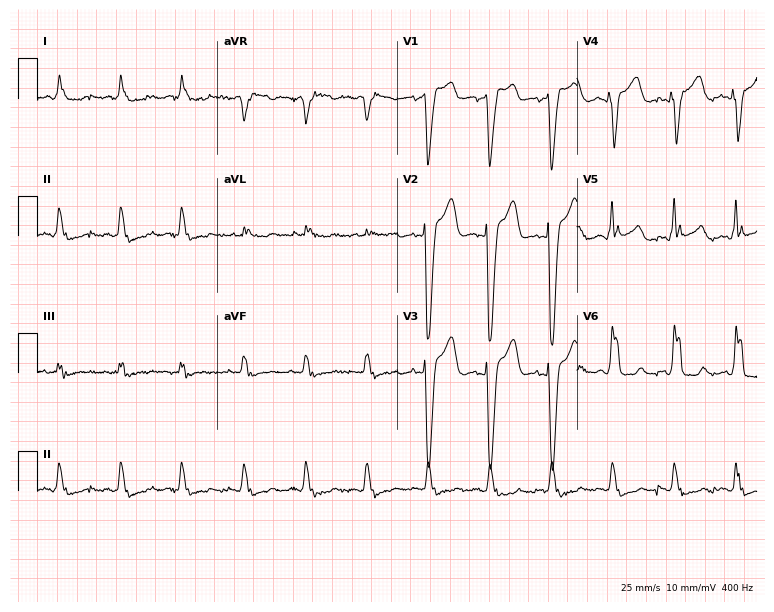
Standard 12-lead ECG recorded from a woman, 84 years old. The tracing shows left bundle branch block.